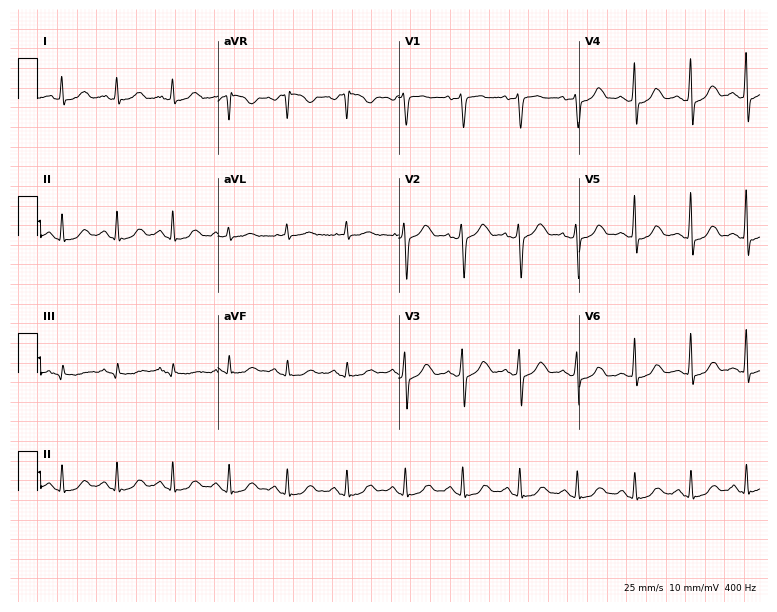
Resting 12-lead electrocardiogram. Patient: a 58-year-old female. None of these six findings is recorded: first-degree AV block, right bundle branch block, left bundle branch block, sinus bradycardia, atrial fibrillation, sinus tachycardia. Other findings, if any, are not listed.